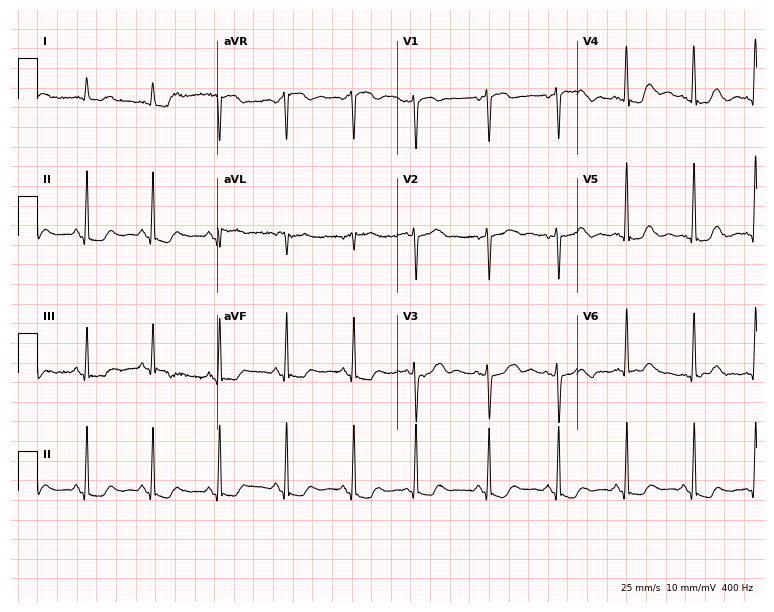
Electrocardiogram, a female patient, 63 years old. Of the six screened findings (first-degree AV block, right bundle branch block, left bundle branch block, sinus bradycardia, atrial fibrillation, sinus tachycardia), none is recorded. Other findings, if any, are not listed.